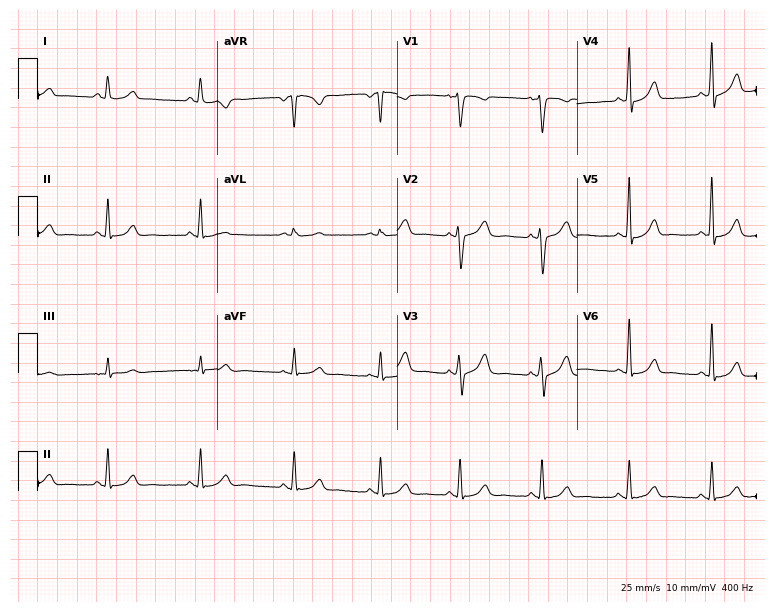
12-lead ECG (7.3-second recording at 400 Hz) from a woman, 37 years old. Screened for six findings — first-degree AV block, right bundle branch block, left bundle branch block, sinus bradycardia, atrial fibrillation, sinus tachycardia — none is recorded.